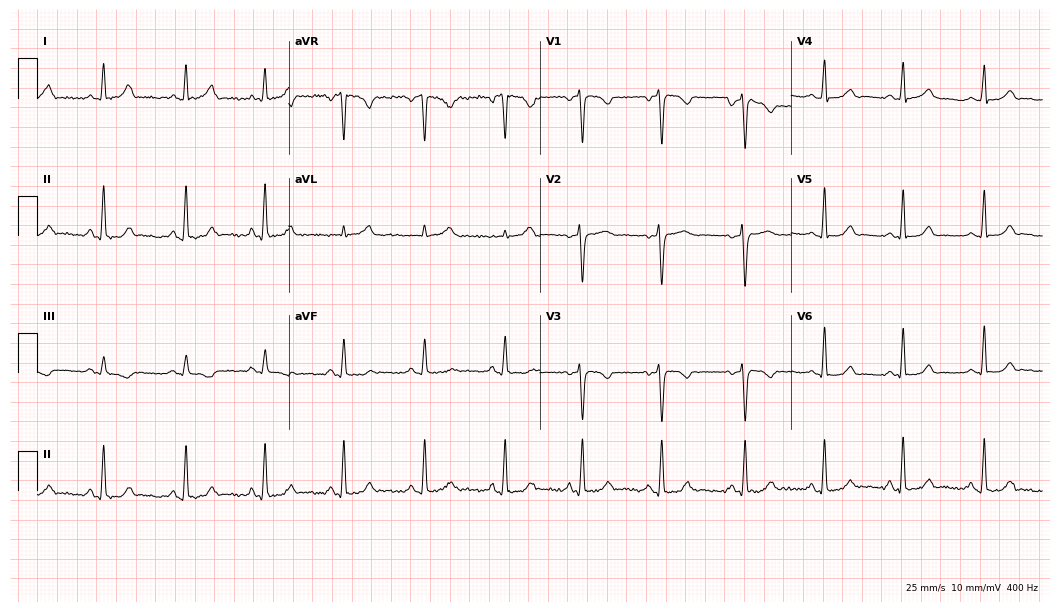
Standard 12-lead ECG recorded from a 27-year-old female. Read as a normal ECG.